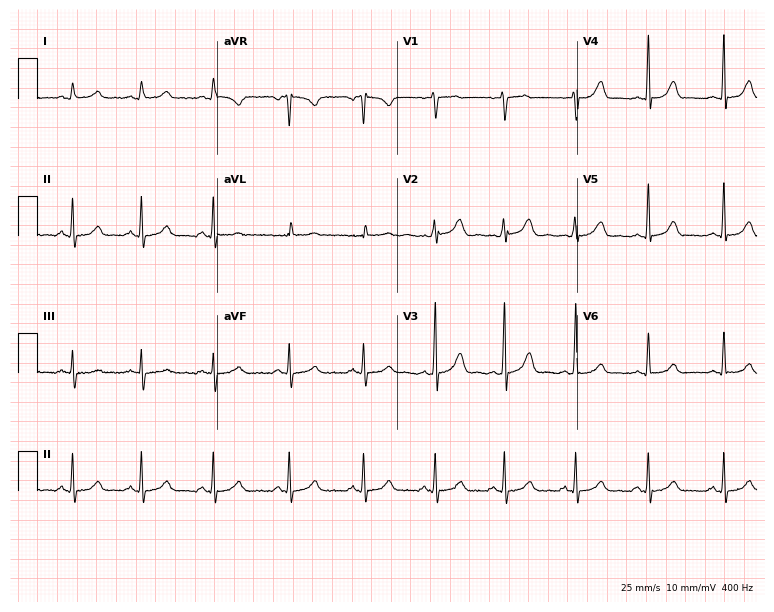
ECG (7.3-second recording at 400 Hz) — a 27-year-old female patient. Labelled as a normal ECG.